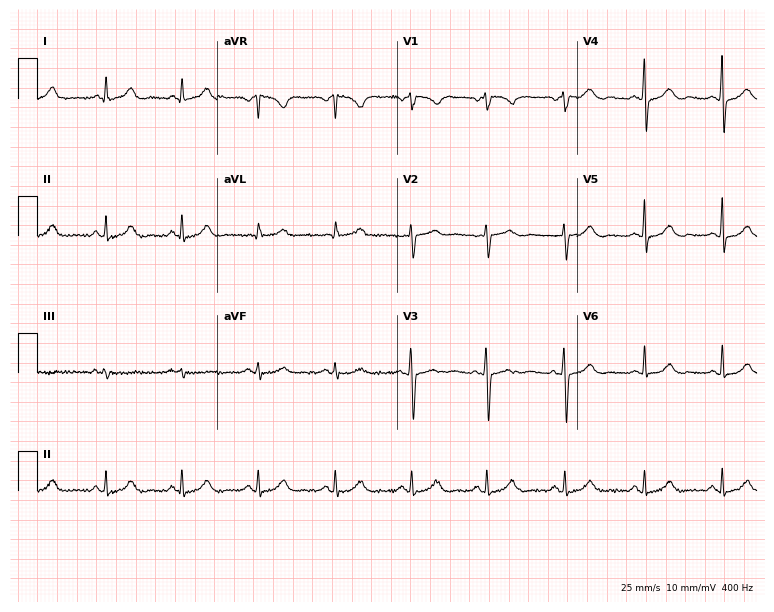
12-lead ECG from a female patient, 38 years old (7.3-second recording at 400 Hz). Recorded interpretation: within normal limits.